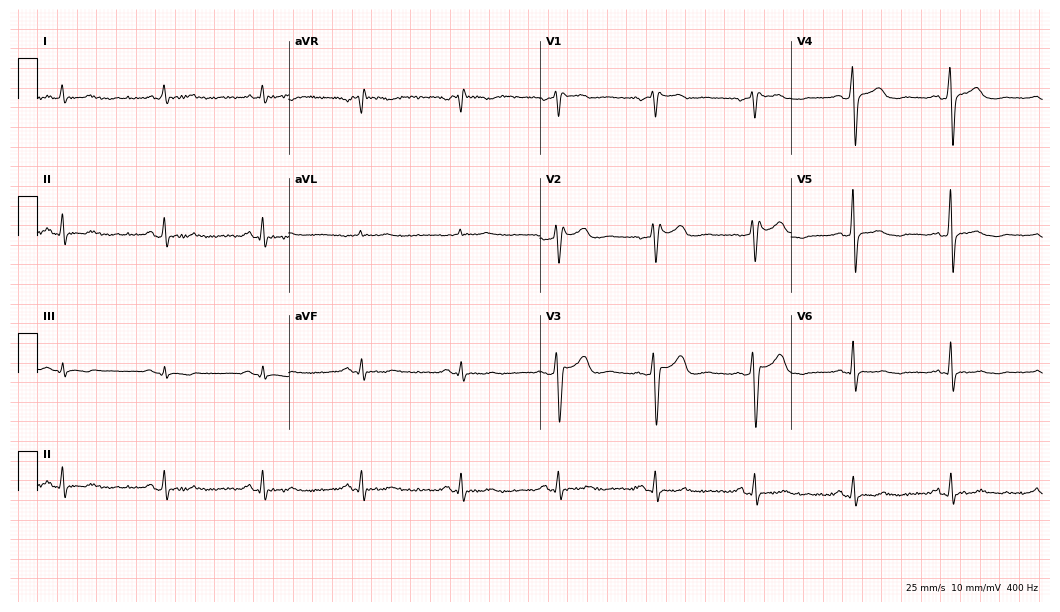
Resting 12-lead electrocardiogram (10.2-second recording at 400 Hz). Patient: a 56-year-old male. None of these six findings is recorded: first-degree AV block, right bundle branch block, left bundle branch block, sinus bradycardia, atrial fibrillation, sinus tachycardia. Only these six findings were labelled.